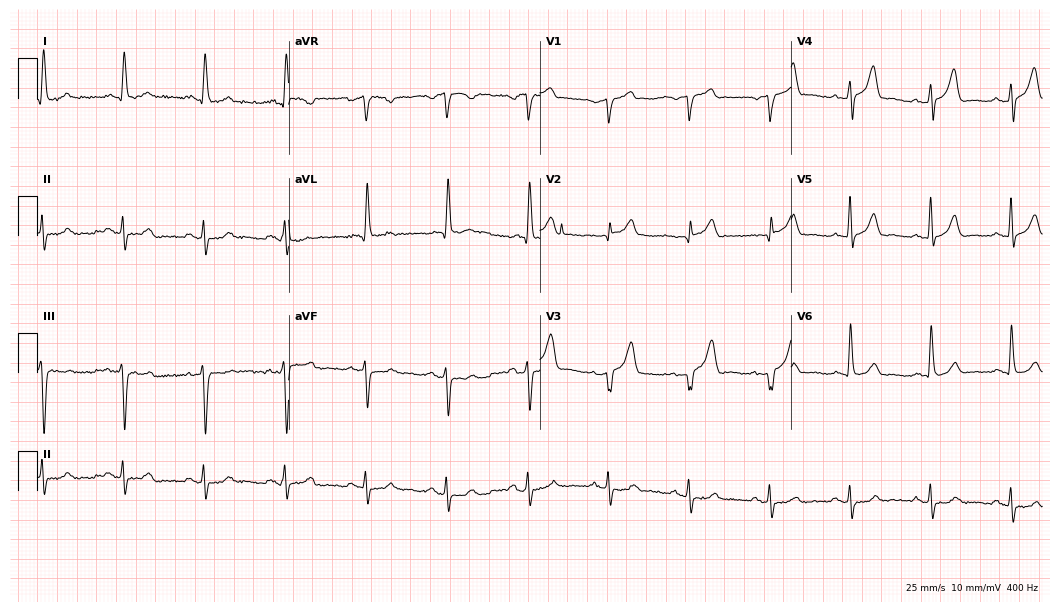
ECG (10.2-second recording at 400 Hz) — a male, 69 years old. Screened for six findings — first-degree AV block, right bundle branch block, left bundle branch block, sinus bradycardia, atrial fibrillation, sinus tachycardia — none is recorded. Only these six findings were labelled.